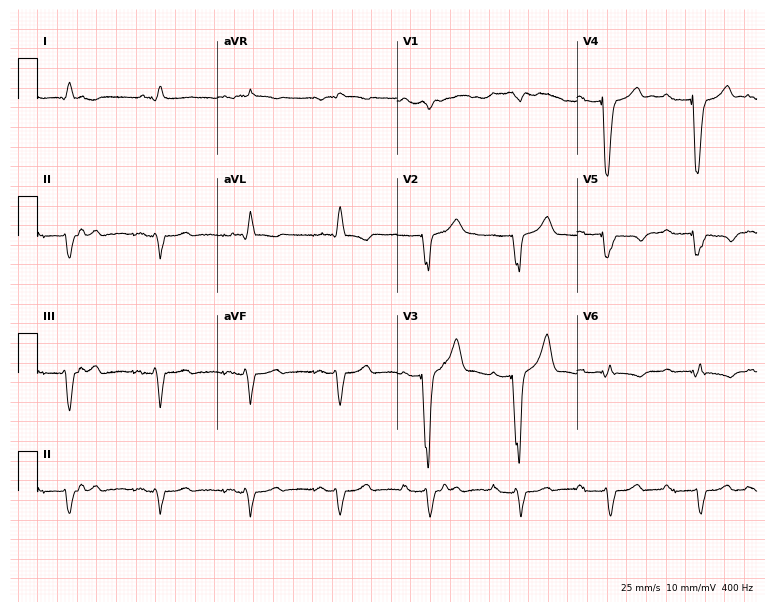
ECG — a male, 76 years old. Screened for six findings — first-degree AV block, right bundle branch block (RBBB), left bundle branch block (LBBB), sinus bradycardia, atrial fibrillation (AF), sinus tachycardia — none is recorded. Only these six findings were labelled.